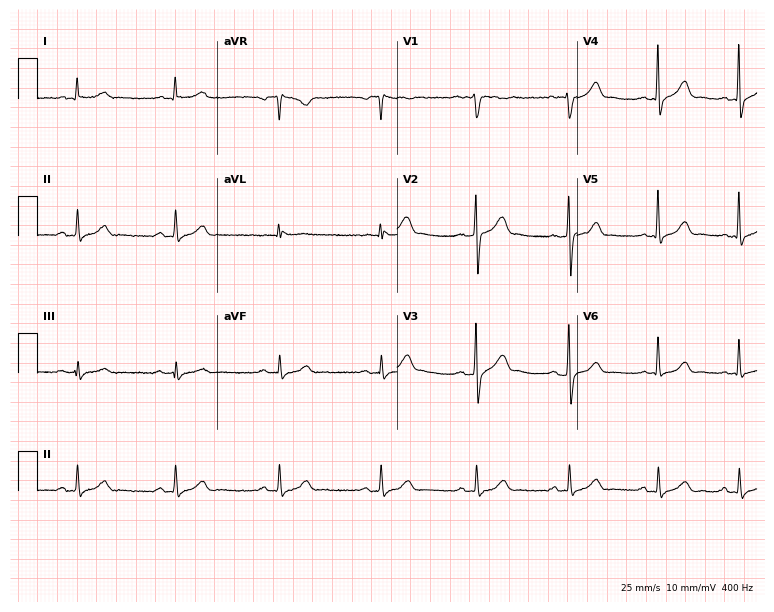
12-lead ECG from a 47-year-old man. Labelled as a normal ECG.